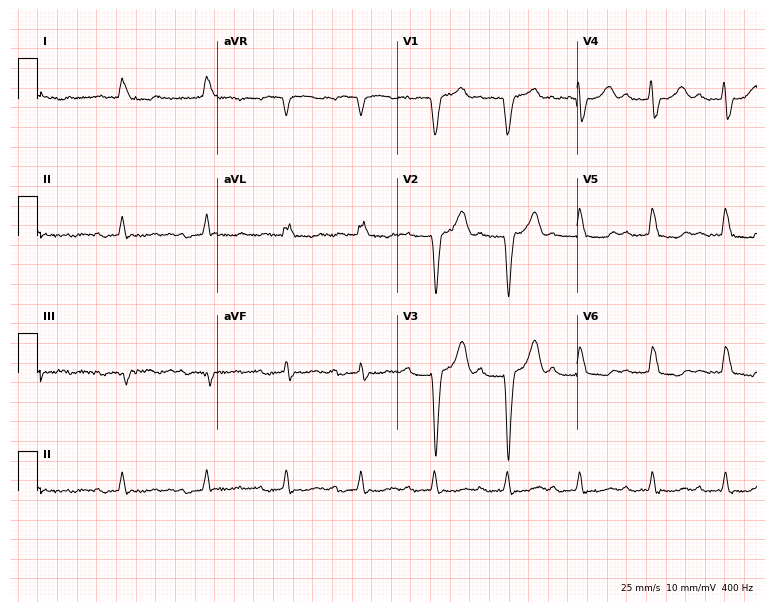
ECG — a female, 81 years old. Screened for six findings — first-degree AV block, right bundle branch block (RBBB), left bundle branch block (LBBB), sinus bradycardia, atrial fibrillation (AF), sinus tachycardia — none is recorded.